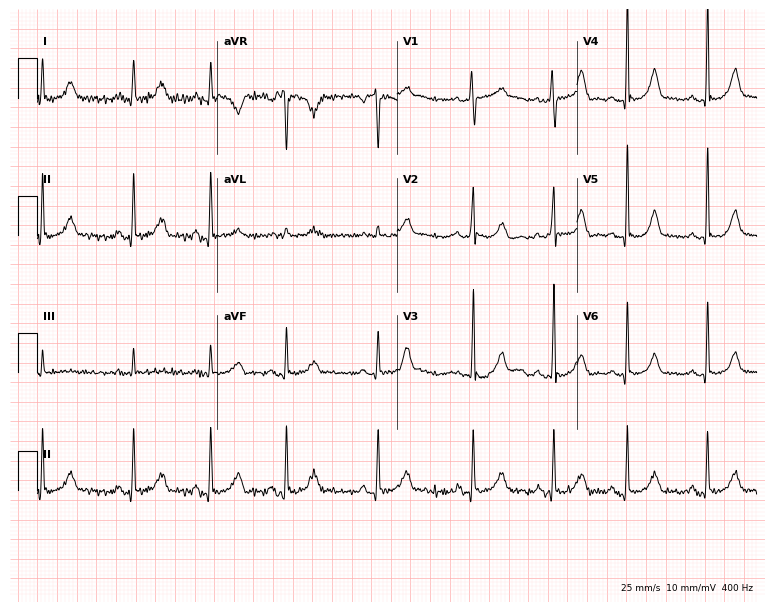
Electrocardiogram (7.3-second recording at 400 Hz), a 24-year-old woman. Overall reading on record: normal ECG.